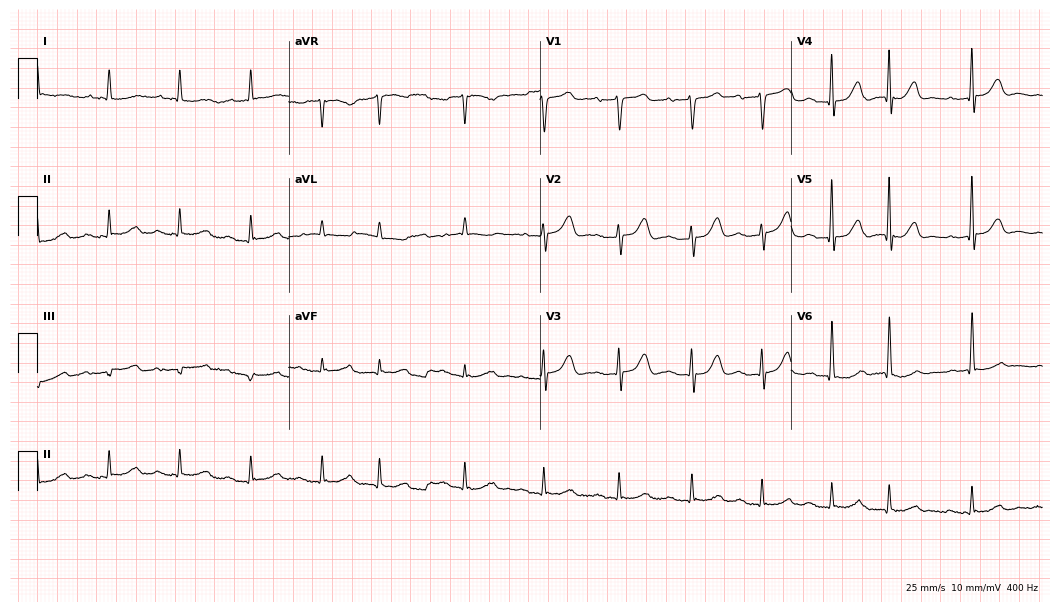
Resting 12-lead electrocardiogram (10.2-second recording at 400 Hz). Patient: a man, 77 years old. None of these six findings is recorded: first-degree AV block, right bundle branch block, left bundle branch block, sinus bradycardia, atrial fibrillation, sinus tachycardia.